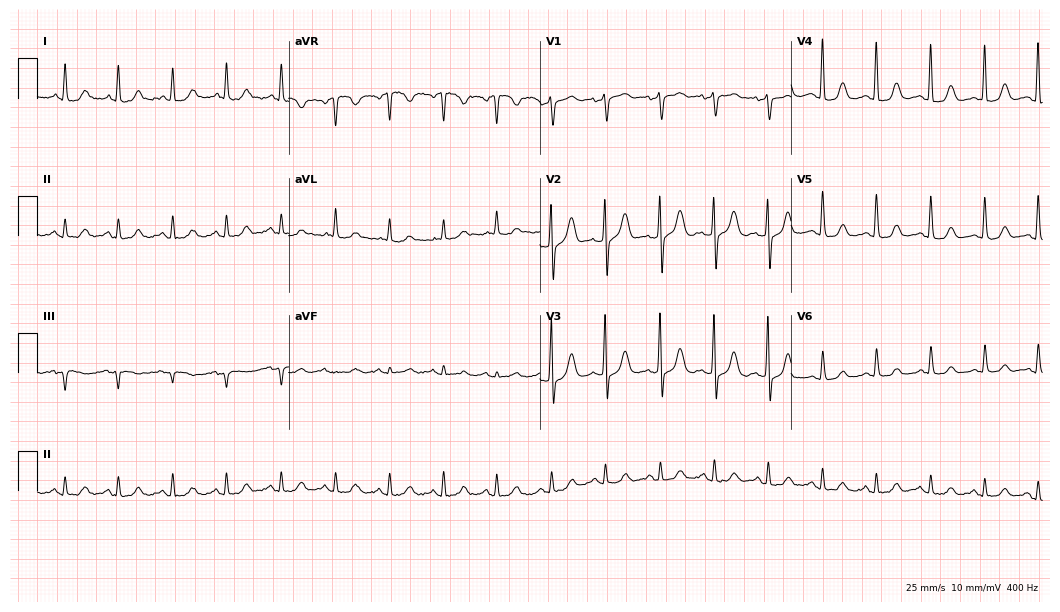
12-lead ECG from a female, 82 years old. No first-degree AV block, right bundle branch block, left bundle branch block, sinus bradycardia, atrial fibrillation or sinus tachycardia recorded for this tracing.